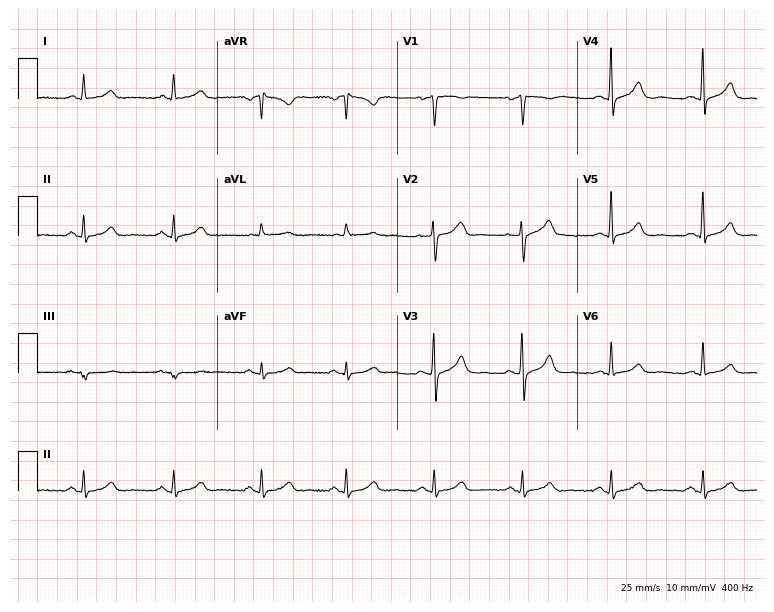
12-lead ECG (7.3-second recording at 400 Hz) from a man, 52 years old. Labelled as a normal ECG.